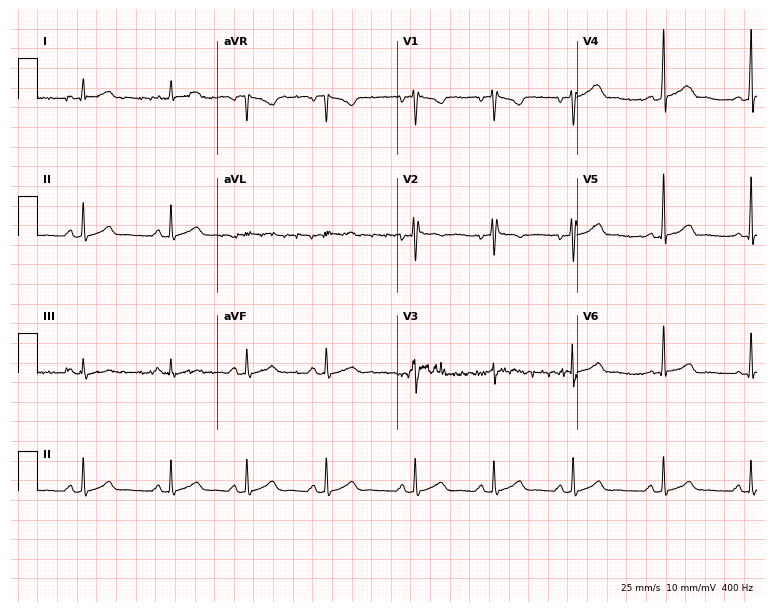
Electrocardiogram (7.3-second recording at 400 Hz), a woman, 23 years old. Of the six screened findings (first-degree AV block, right bundle branch block, left bundle branch block, sinus bradycardia, atrial fibrillation, sinus tachycardia), none is recorded.